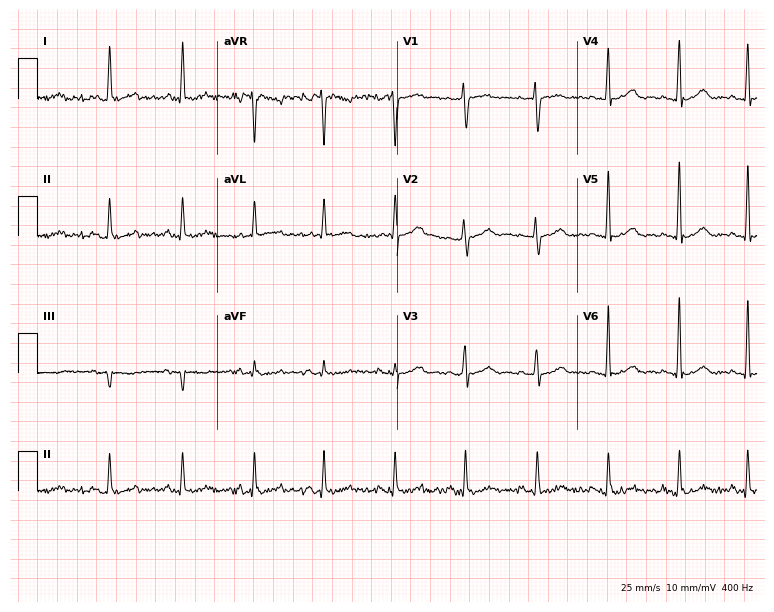
Resting 12-lead electrocardiogram. Patient: a female, 60 years old. Read as a normal ECG.